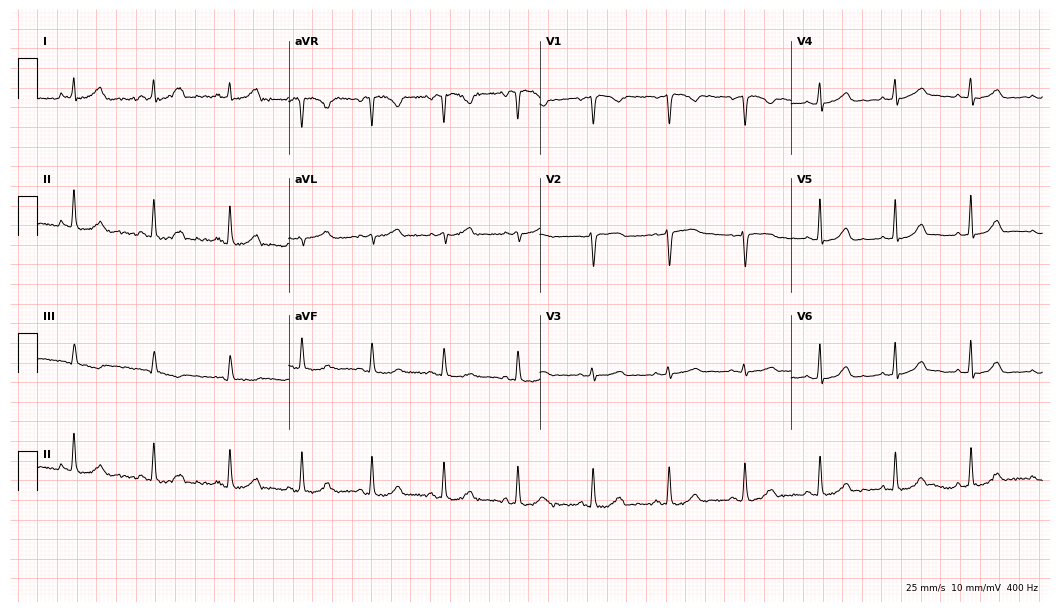
Resting 12-lead electrocardiogram. Patient: a 38-year-old woman. Read as a normal ECG.